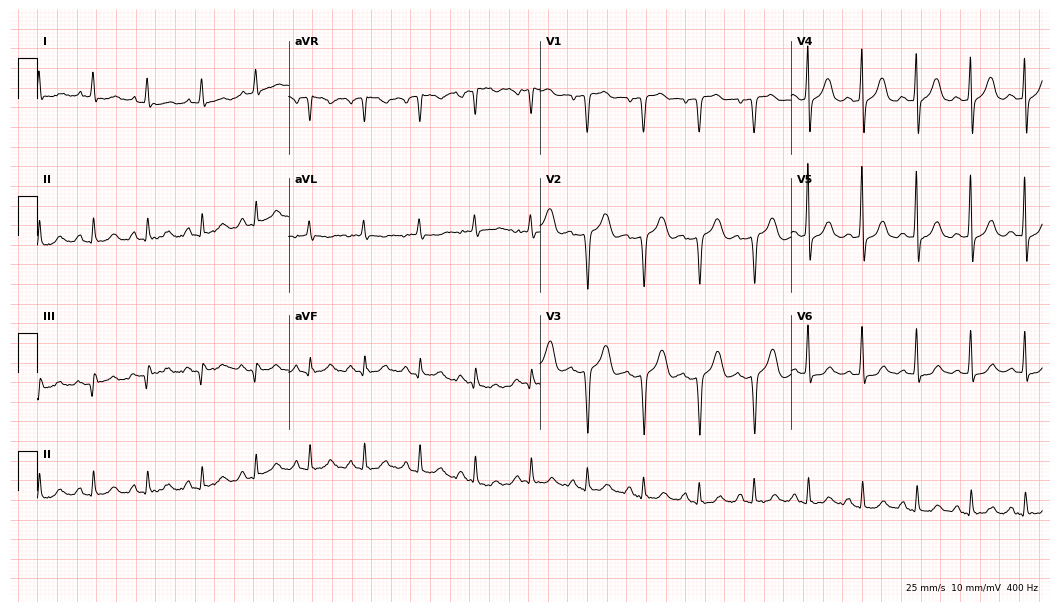
ECG — a female patient, 76 years old. Screened for six findings — first-degree AV block, right bundle branch block (RBBB), left bundle branch block (LBBB), sinus bradycardia, atrial fibrillation (AF), sinus tachycardia — none is recorded. Findings outside these six are not listed.